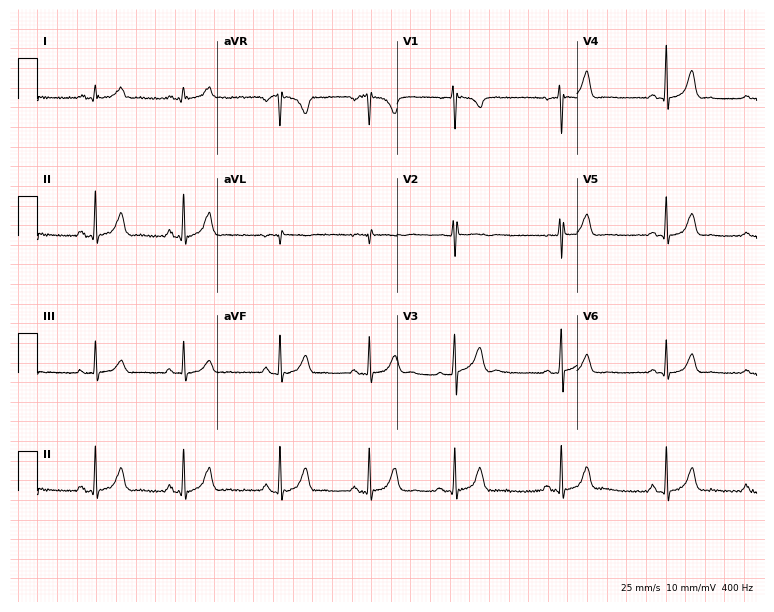
12-lead ECG from a female patient, 23 years old. Recorded interpretation: within normal limits.